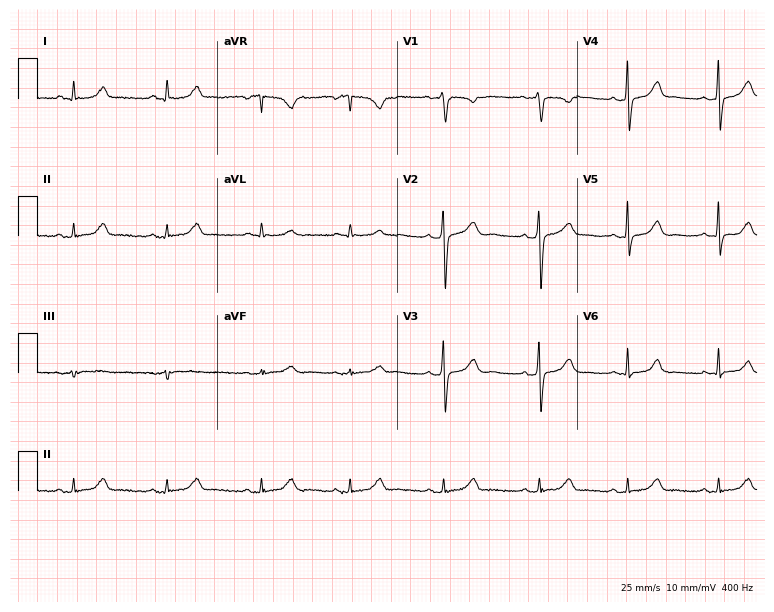
ECG (7.3-second recording at 400 Hz) — a 29-year-old female patient. Labelled as a normal ECG.